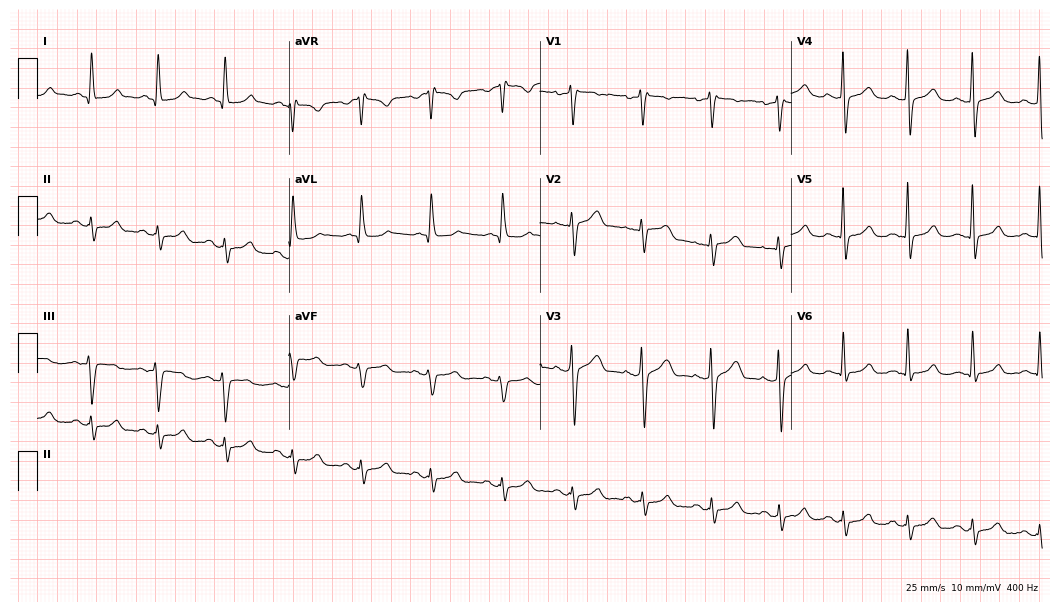
Standard 12-lead ECG recorded from a male, 38 years old (10.2-second recording at 400 Hz). None of these six findings is recorded: first-degree AV block, right bundle branch block, left bundle branch block, sinus bradycardia, atrial fibrillation, sinus tachycardia.